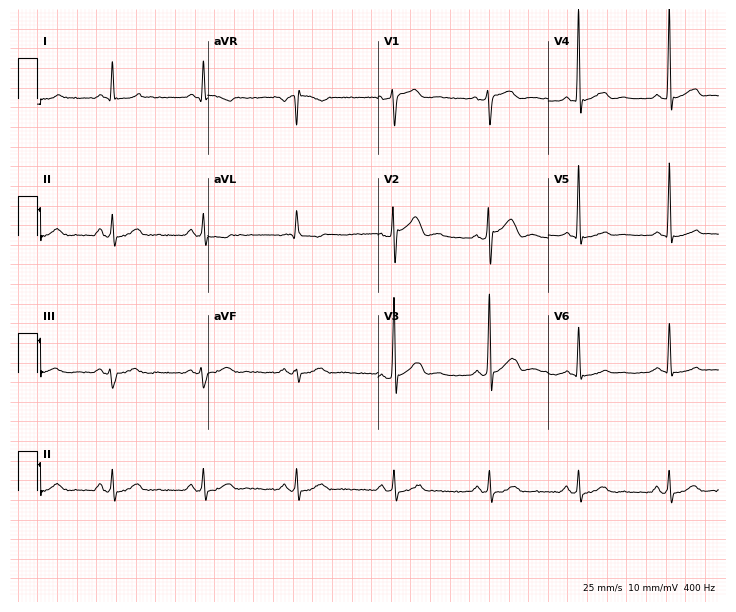
12-lead ECG from a male, 56 years old. Screened for six findings — first-degree AV block, right bundle branch block, left bundle branch block, sinus bradycardia, atrial fibrillation, sinus tachycardia — none is recorded. Only these six findings were labelled.